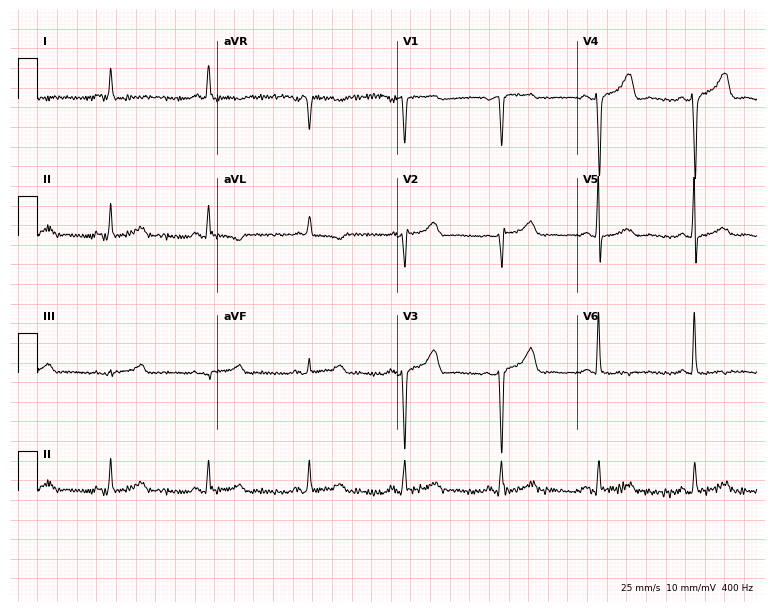
ECG — a 52-year-old female patient. Screened for six findings — first-degree AV block, right bundle branch block, left bundle branch block, sinus bradycardia, atrial fibrillation, sinus tachycardia — none is recorded.